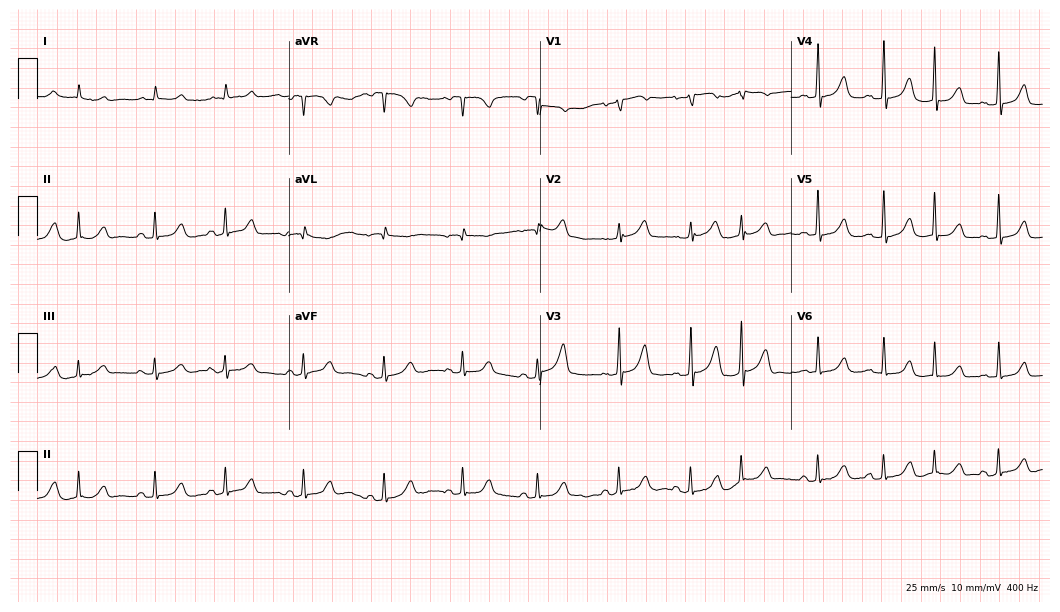
12-lead ECG from a female, 86 years old (10.2-second recording at 400 Hz). No first-degree AV block, right bundle branch block, left bundle branch block, sinus bradycardia, atrial fibrillation or sinus tachycardia recorded for this tracing. Findings outside these six are not listed.